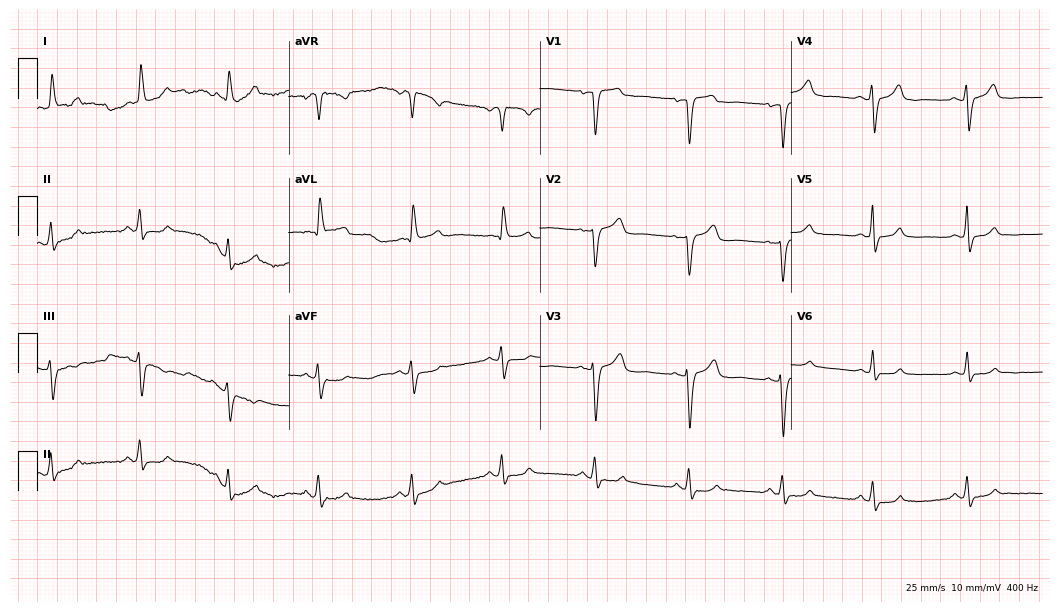
12-lead ECG from a 66-year-old female (10.2-second recording at 400 Hz). Shows left bundle branch block.